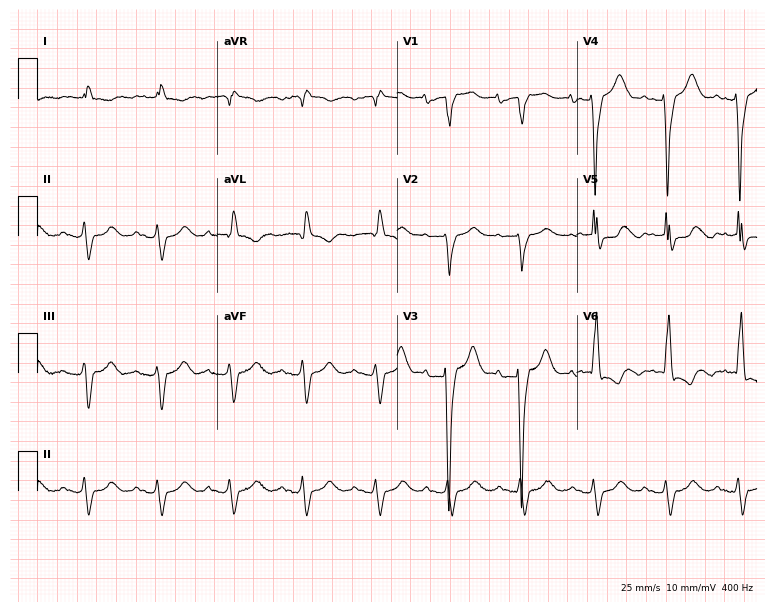
Standard 12-lead ECG recorded from an 82-year-old female. The tracing shows first-degree AV block, left bundle branch block.